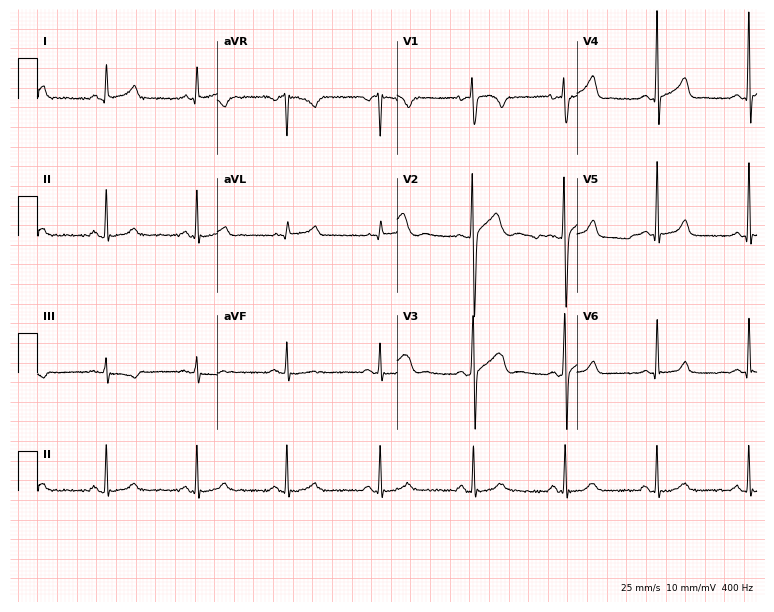
Resting 12-lead electrocardiogram. Patient: a 47-year-old man. Read as a normal ECG.